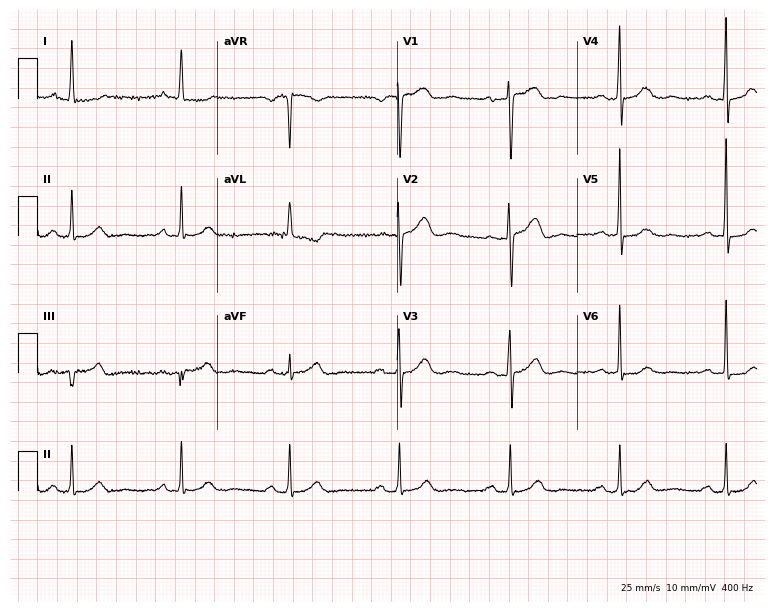
Resting 12-lead electrocardiogram. Patient: a female, 76 years old. None of these six findings is recorded: first-degree AV block, right bundle branch block, left bundle branch block, sinus bradycardia, atrial fibrillation, sinus tachycardia. Other findings, if any, are not listed.